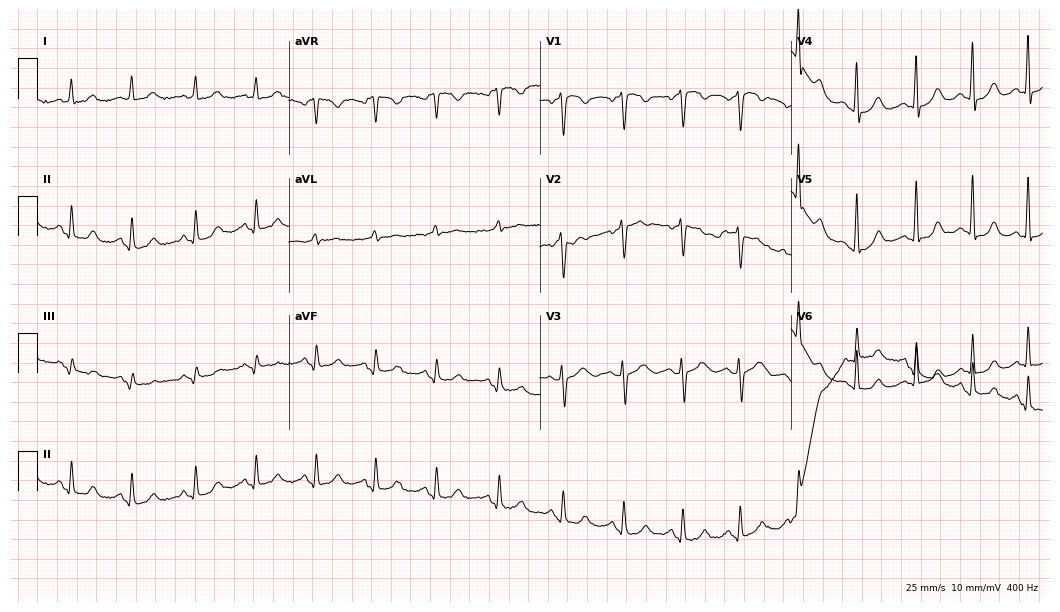
ECG (10.2-second recording at 400 Hz) — a female patient, 55 years old. Screened for six findings — first-degree AV block, right bundle branch block, left bundle branch block, sinus bradycardia, atrial fibrillation, sinus tachycardia — none is recorded. Findings outside these six are not listed.